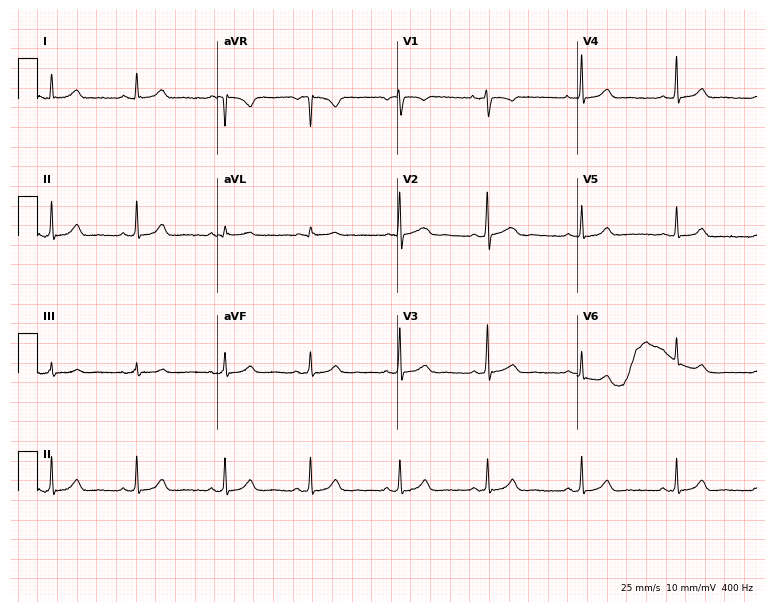
Electrocardiogram (7.3-second recording at 400 Hz), a female, 39 years old. Overall reading on record: normal ECG.